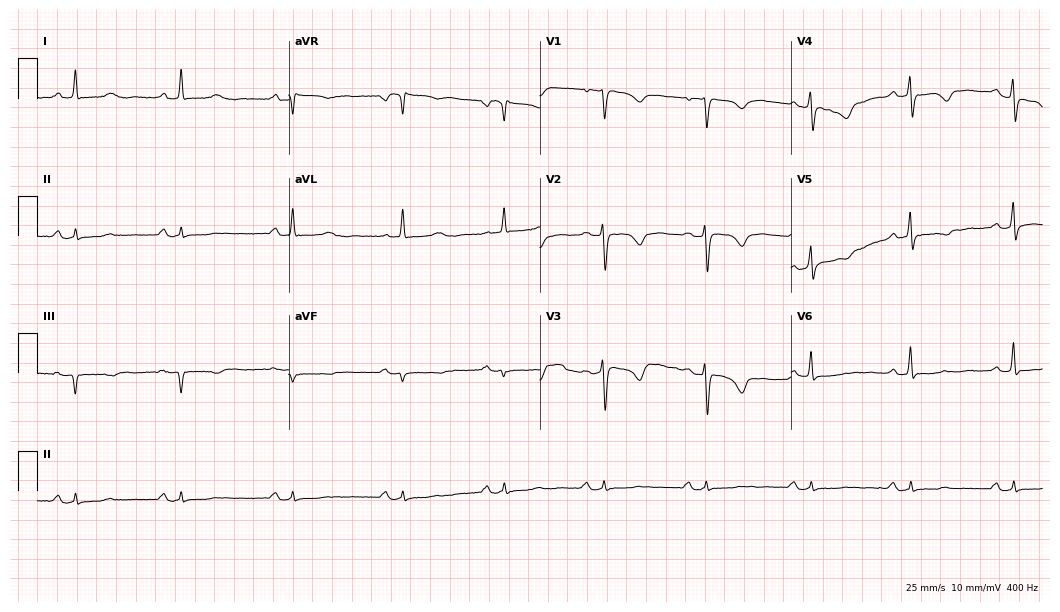
Resting 12-lead electrocardiogram (10.2-second recording at 400 Hz). Patient: a woman, 58 years old. None of these six findings is recorded: first-degree AV block, right bundle branch block, left bundle branch block, sinus bradycardia, atrial fibrillation, sinus tachycardia.